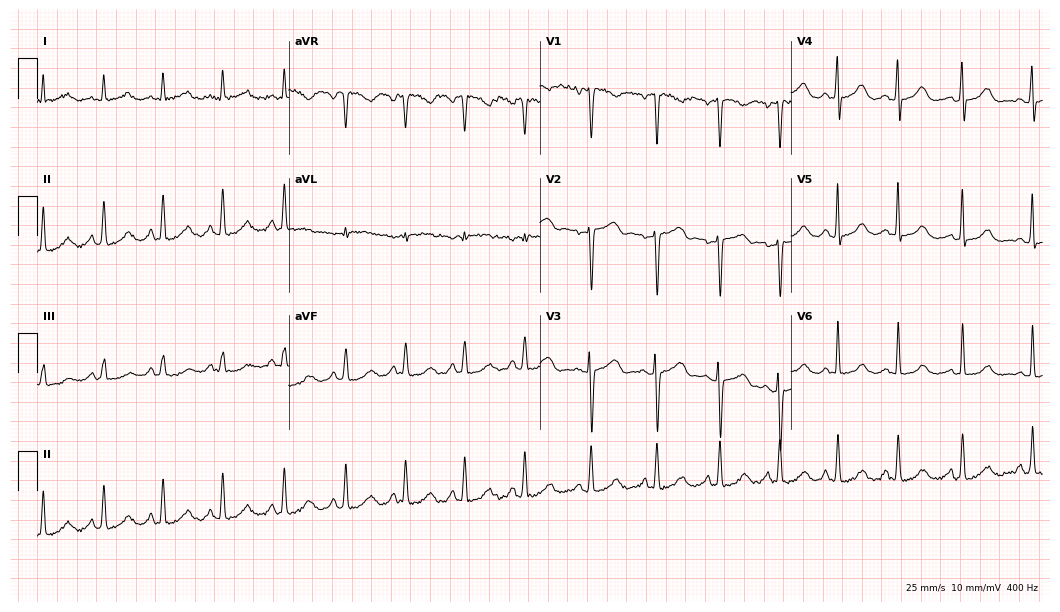
12-lead ECG from a female patient, 33 years old. Recorded interpretation: within normal limits.